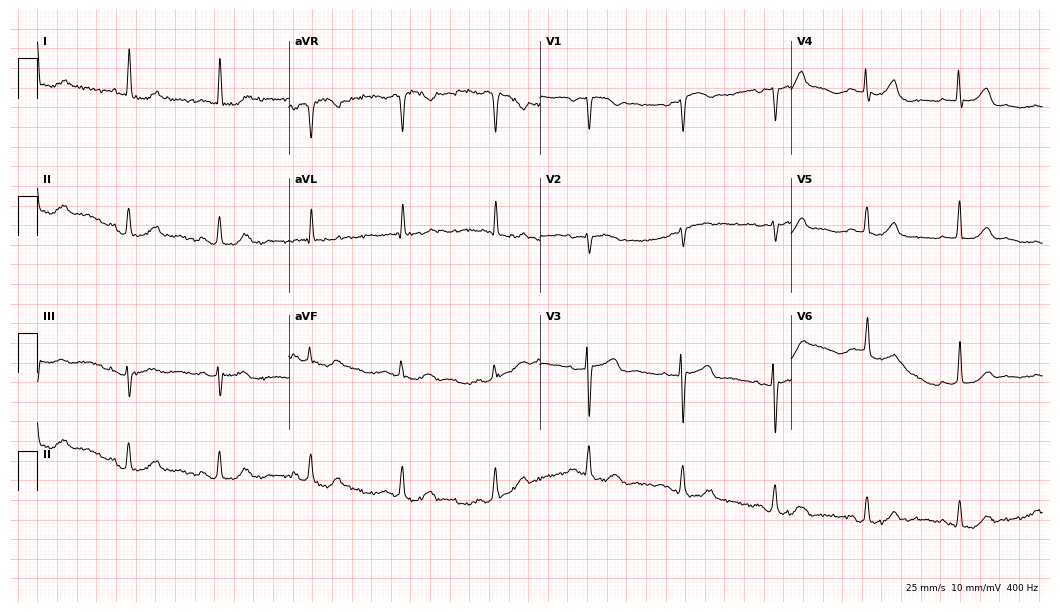
Resting 12-lead electrocardiogram (10.2-second recording at 400 Hz). Patient: a woman, 76 years old. None of these six findings is recorded: first-degree AV block, right bundle branch block, left bundle branch block, sinus bradycardia, atrial fibrillation, sinus tachycardia.